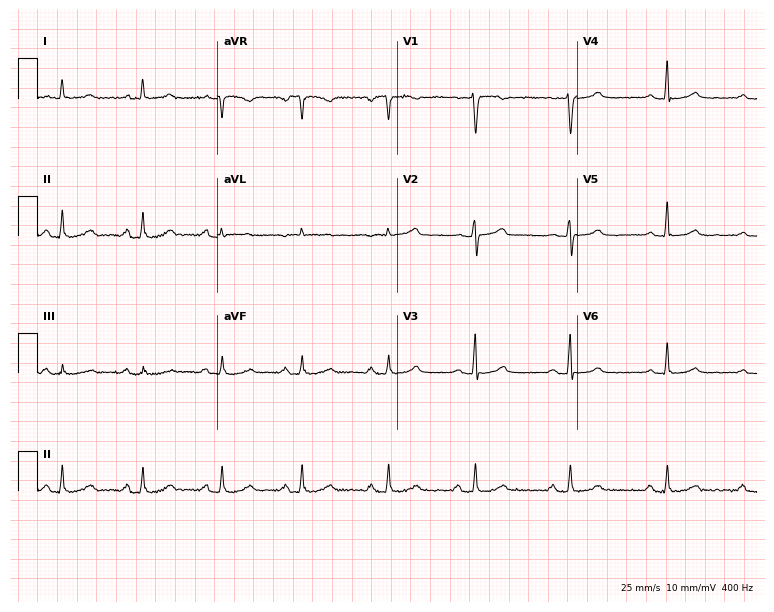
12-lead ECG from a 49-year-old female patient. Recorded interpretation: within normal limits.